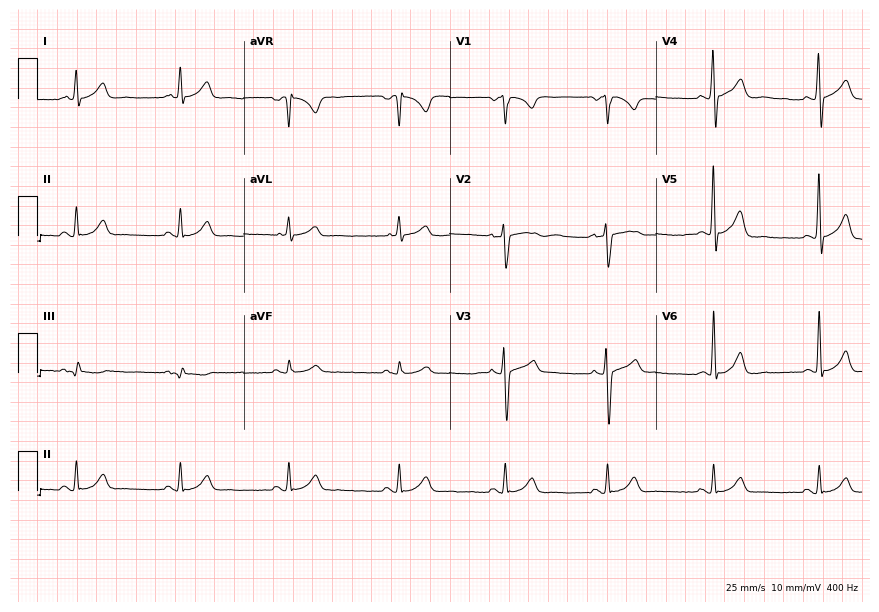
12-lead ECG from a 46-year-old man (8.4-second recording at 400 Hz). Recorded interpretation: within normal limits.